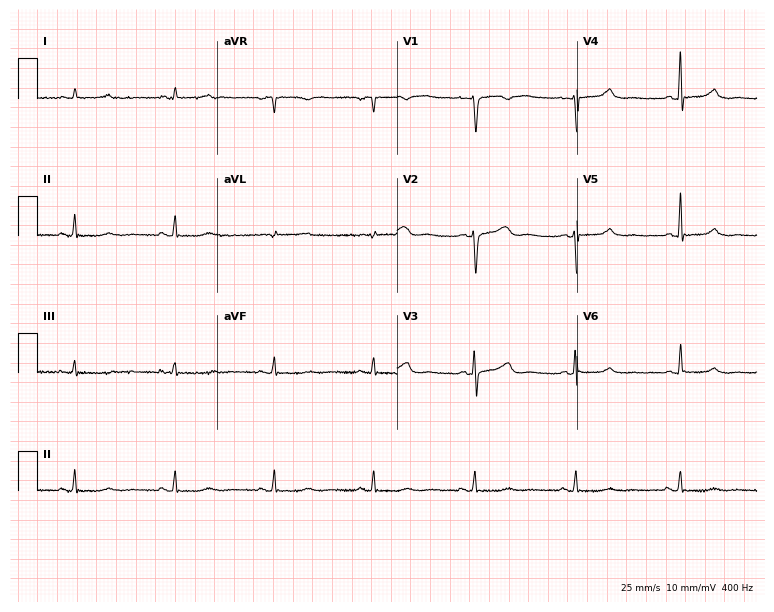
Electrocardiogram, a 28-year-old female patient. Of the six screened findings (first-degree AV block, right bundle branch block, left bundle branch block, sinus bradycardia, atrial fibrillation, sinus tachycardia), none is recorded. Findings outside these six are not listed.